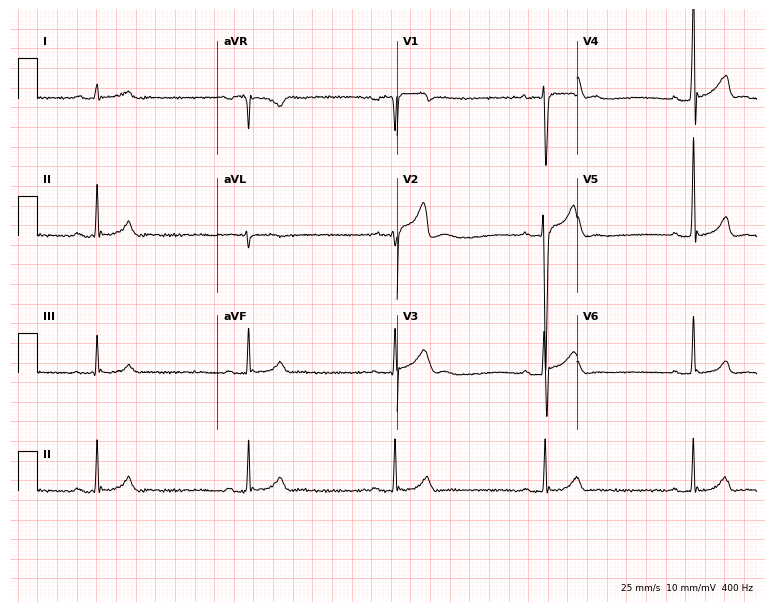
12-lead ECG (7.3-second recording at 400 Hz) from a male patient, 21 years old. Findings include first-degree AV block, sinus bradycardia (a sinus rate of 50 beats per minute or less).